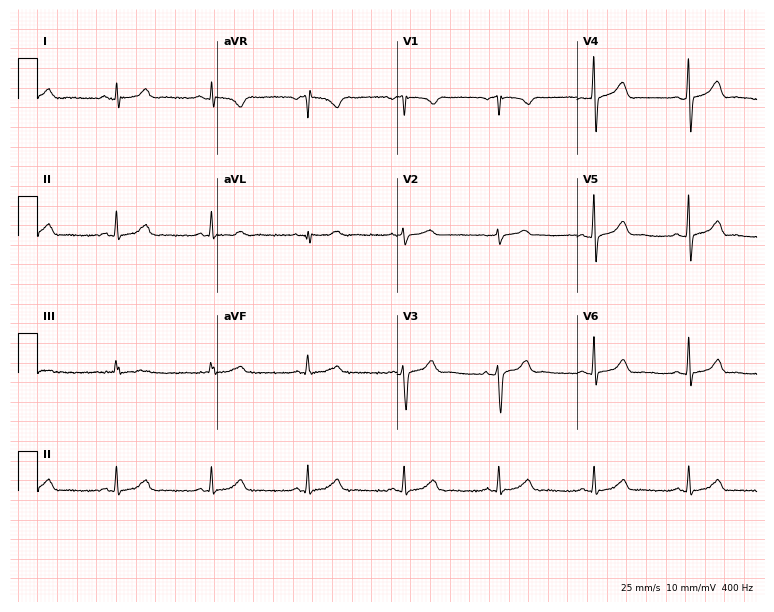
Standard 12-lead ECG recorded from a man, 63 years old. Read as a normal ECG.